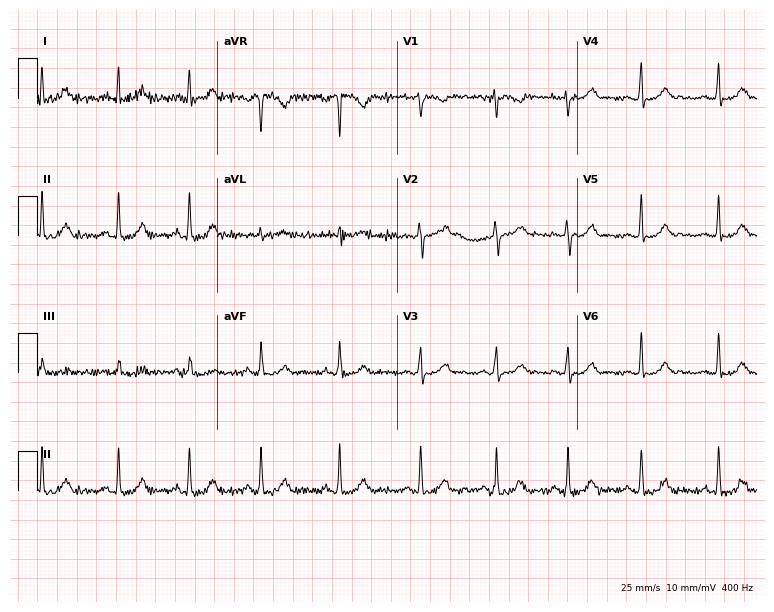
12-lead ECG (7.3-second recording at 400 Hz) from a woman, 29 years old. Screened for six findings — first-degree AV block, right bundle branch block, left bundle branch block, sinus bradycardia, atrial fibrillation, sinus tachycardia — none is recorded.